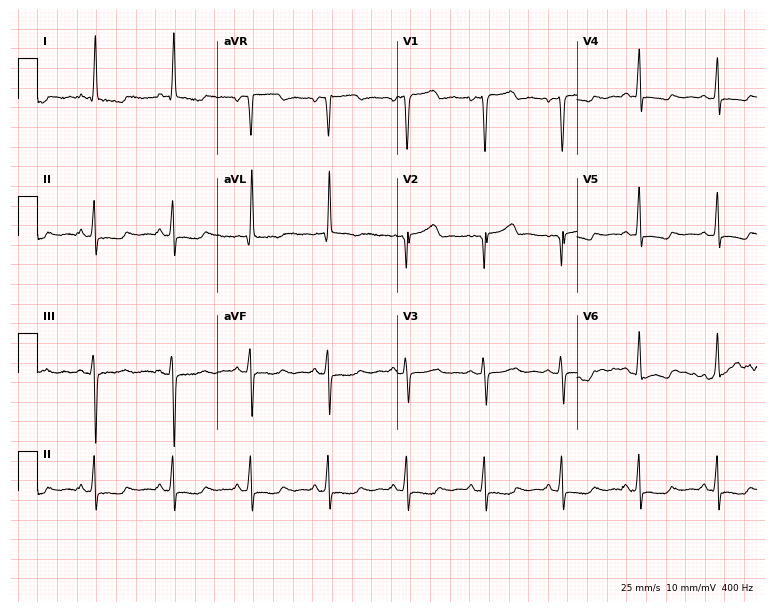
12-lead ECG from a 60-year-old female. Screened for six findings — first-degree AV block, right bundle branch block, left bundle branch block, sinus bradycardia, atrial fibrillation, sinus tachycardia — none is recorded.